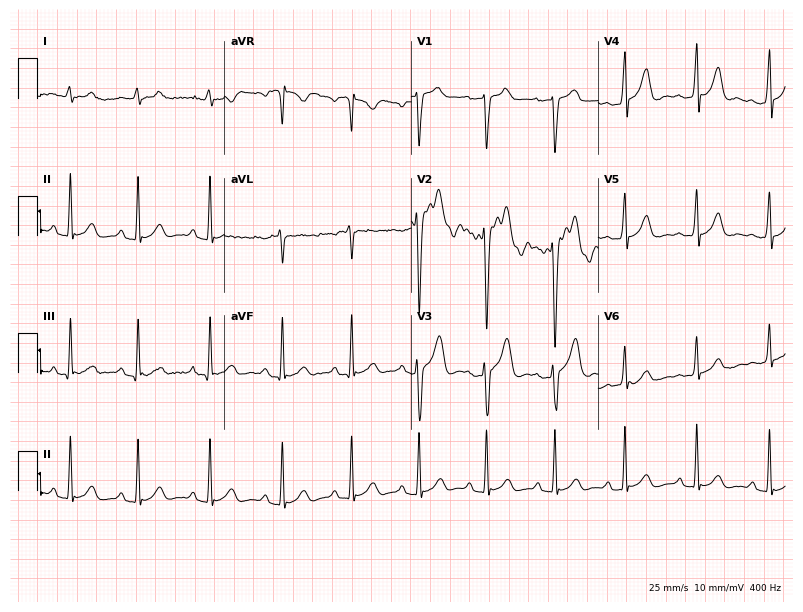
Standard 12-lead ECG recorded from a man, 25 years old. Read as a normal ECG.